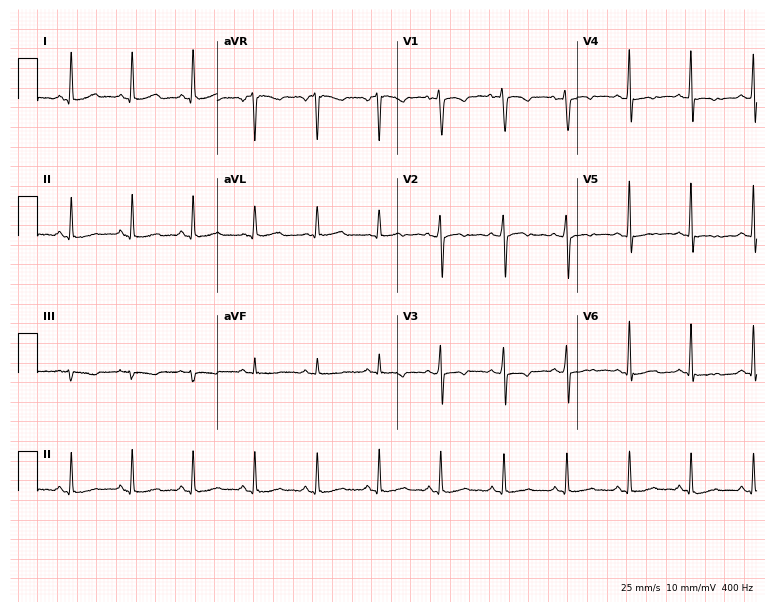
Resting 12-lead electrocardiogram (7.3-second recording at 400 Hz). Patient: a 44-year-old female. Read as a normal ECG.